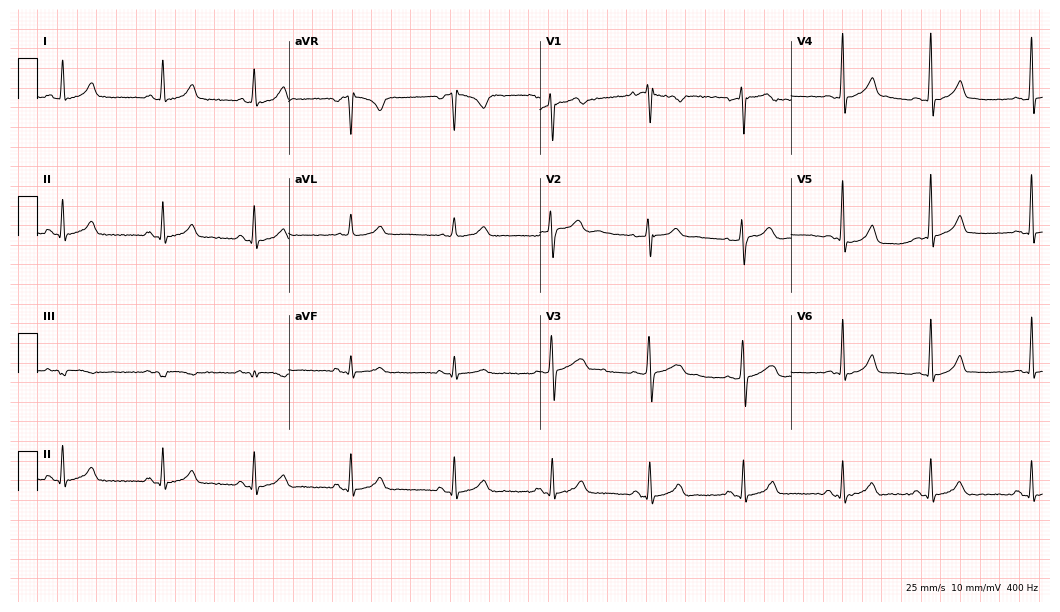
12-lead ECG from a female patient, 26 years old (10.2-second recording at 400 Hz). Recorded interpretation: within normal limits.